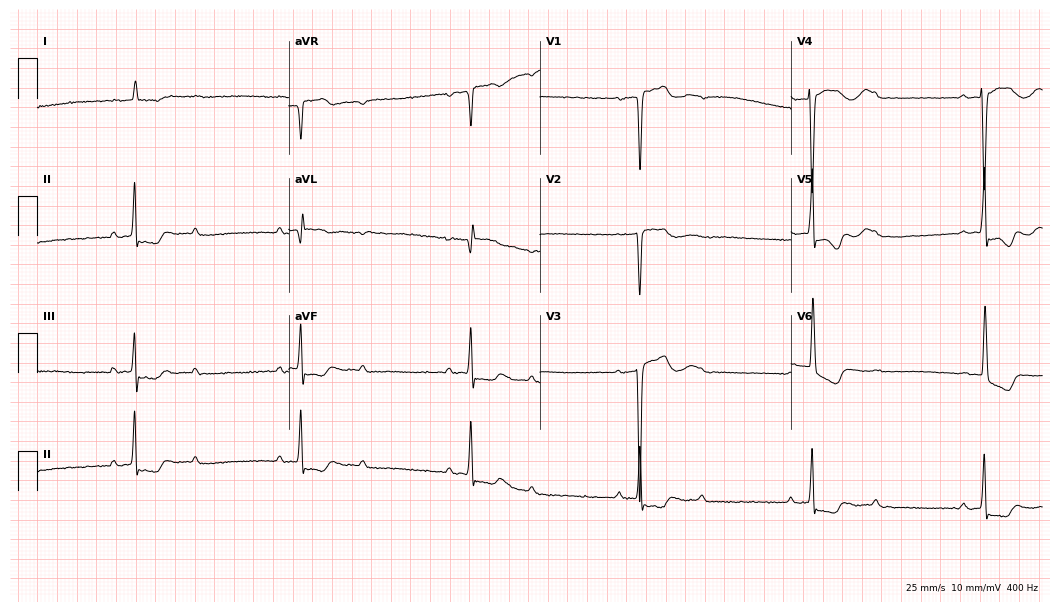
ECG (10.2-second recording at 400 Hz) — a female patient, 80 years old. Findings include first-degree AV block.